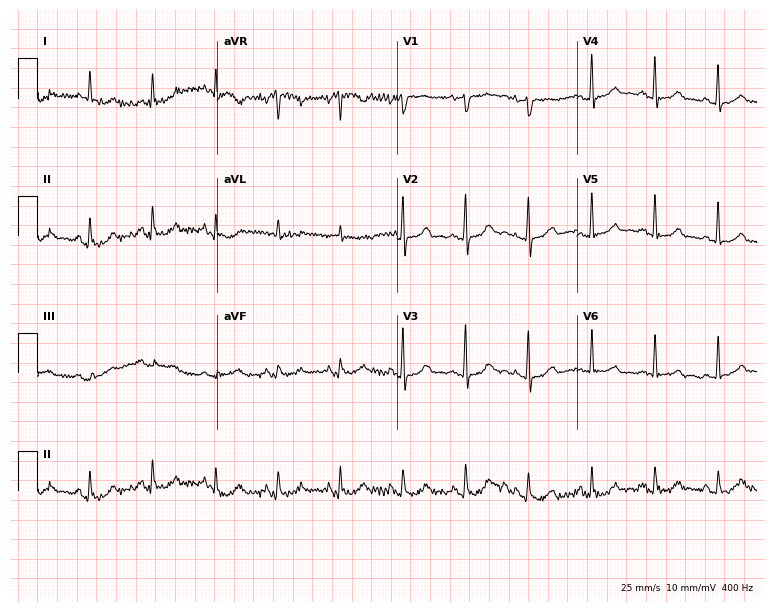
ECG (7.3-second recording at 400 Hz) — a 65-year-old female. Labelled as a normal ECG.